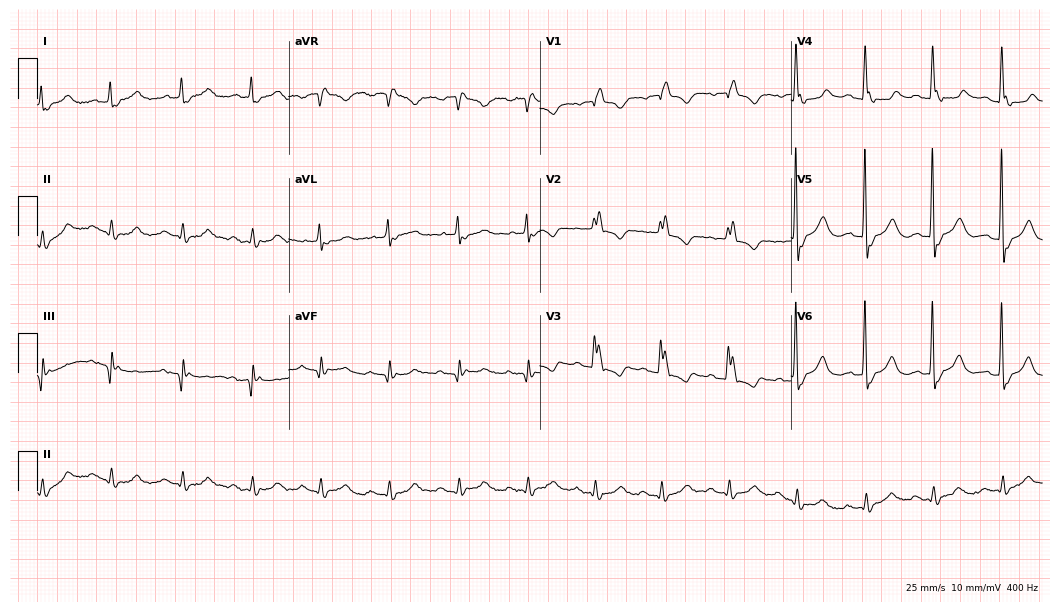
12-lead ECG (10.2-second recording at 400 Hz) from a female, 80 years old. Findings include right bundle branch block.